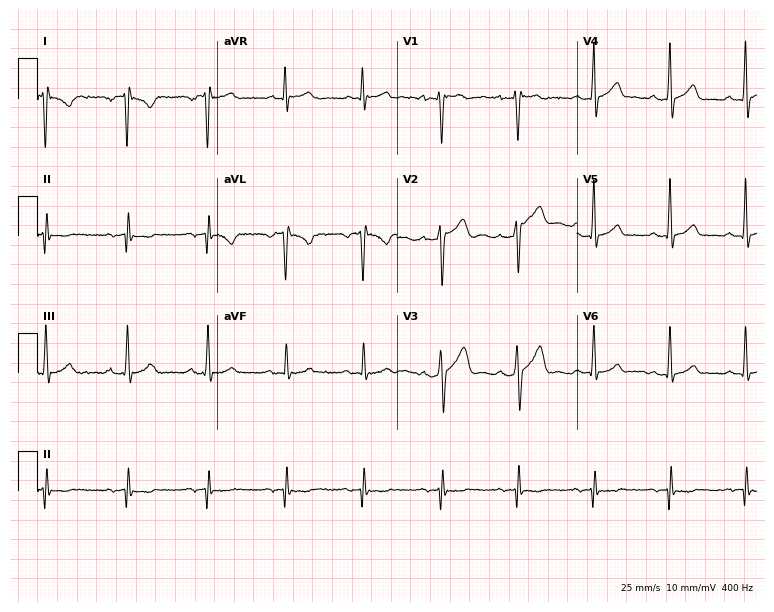
12-lead ECG from a 22-year-old man. No first-degree AV block, right bundle branch block, left bundle branch block, sinus bradycardia, atrial fibrillation or sinus tachycardia recorded for this tracing.